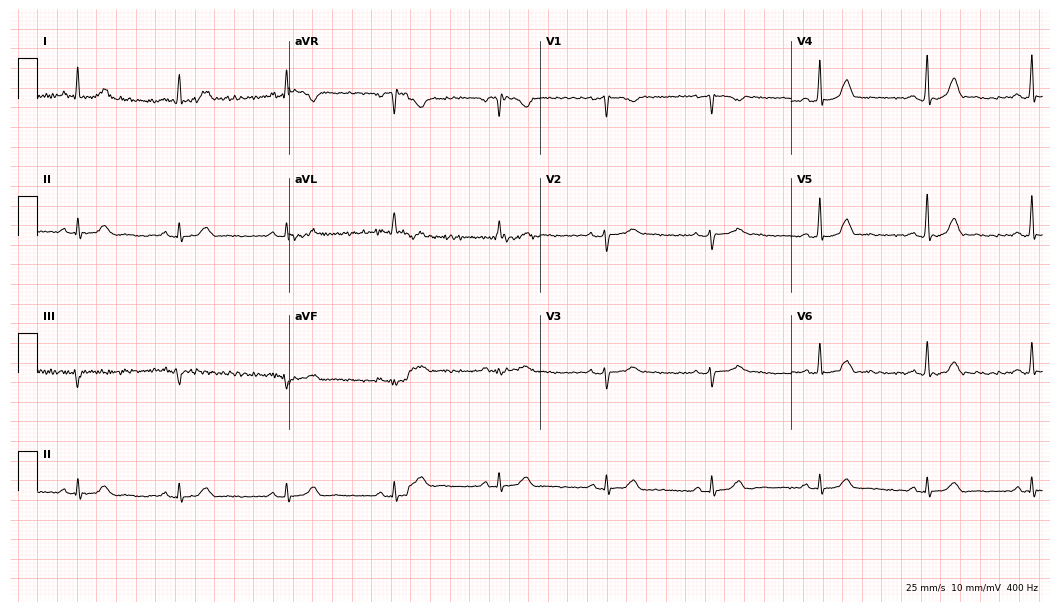
Standard 12-lead ECG recorded from a female, 59 years old (10.2-second recording at 400 Hz). Read as a normal ECG.